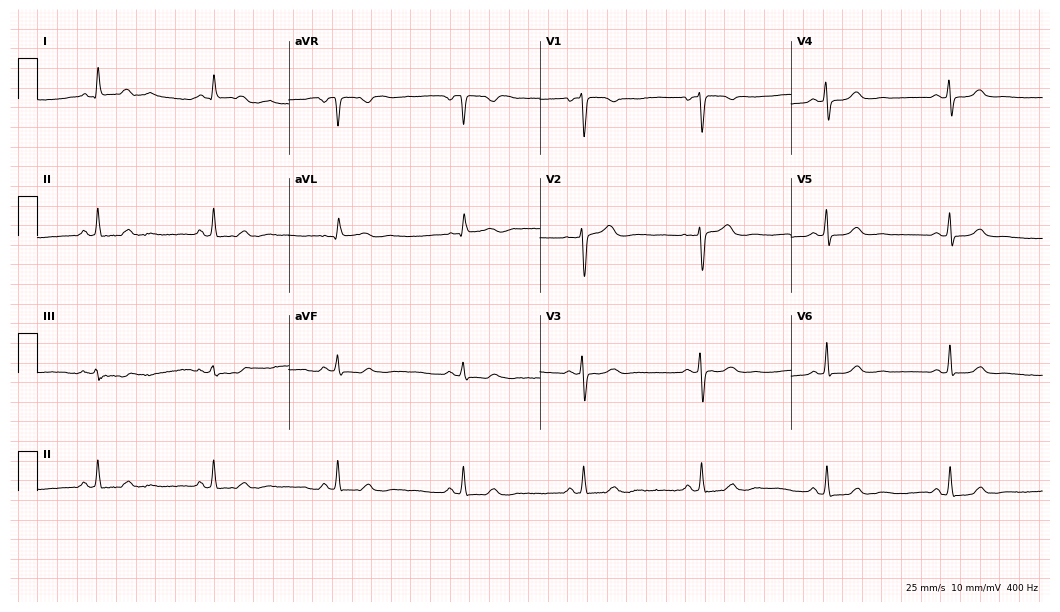
Resting 12-lead electrocardiogram. Patient: a woman, 57 years old. The tracing shows sinus bradycardia (a sinus rate of 50 beats per minute or less).